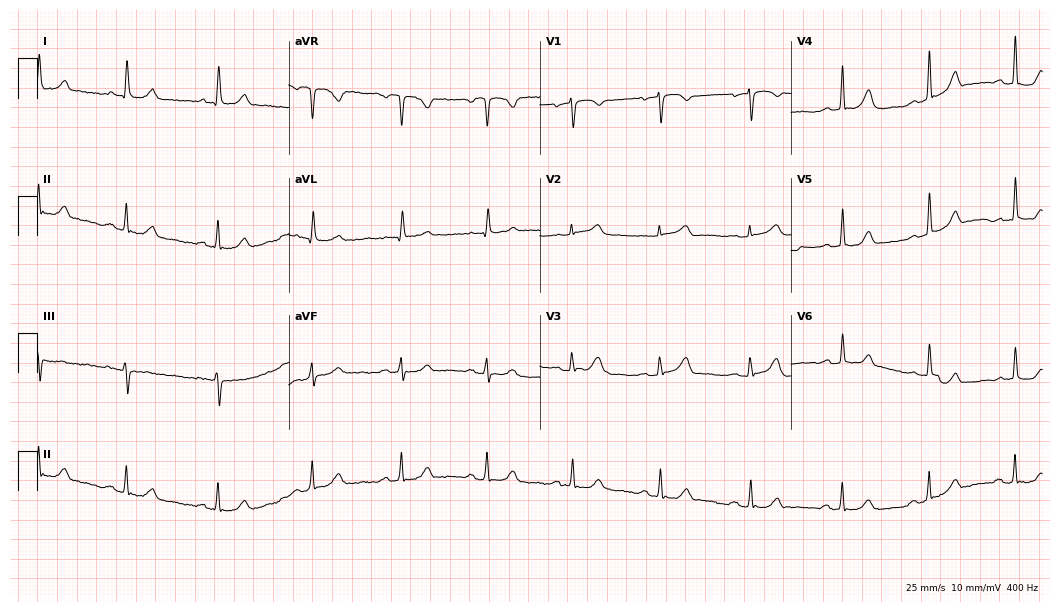
Electrocardiogram (10.2-second recording at 400 Hz), a female patient, 76 years old. Overall reading on record: normal ECG.